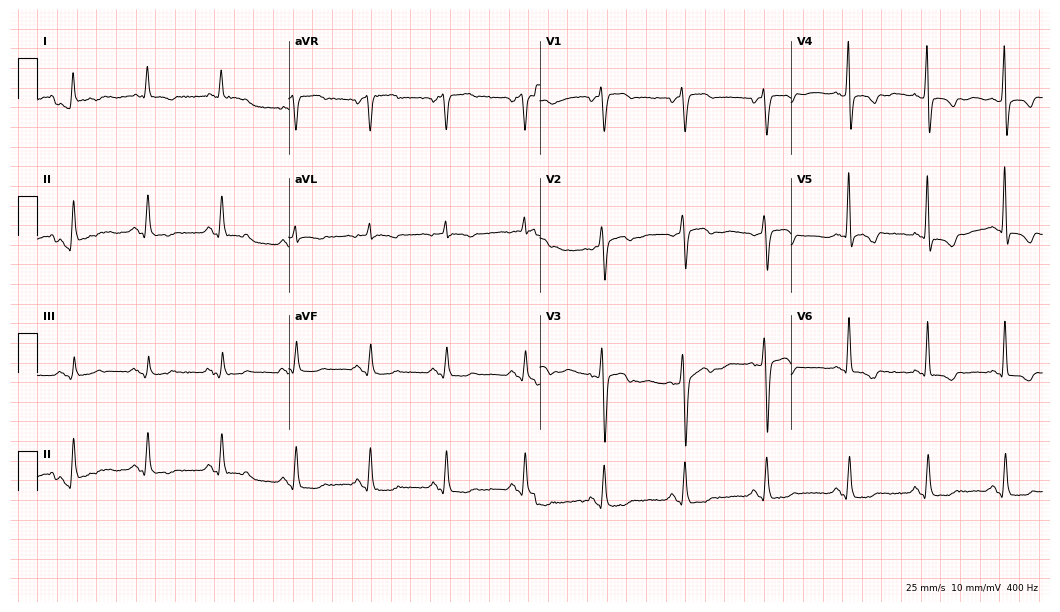
12-lead ECG from a woman, 66 years old. Screened for six findings — first-degree AV block, right bundle branch block, left bundle branch block, sinus bradycardia, atrial fibrillation, sinus tachycardia — none is recorded. Only these six findings were labelled.